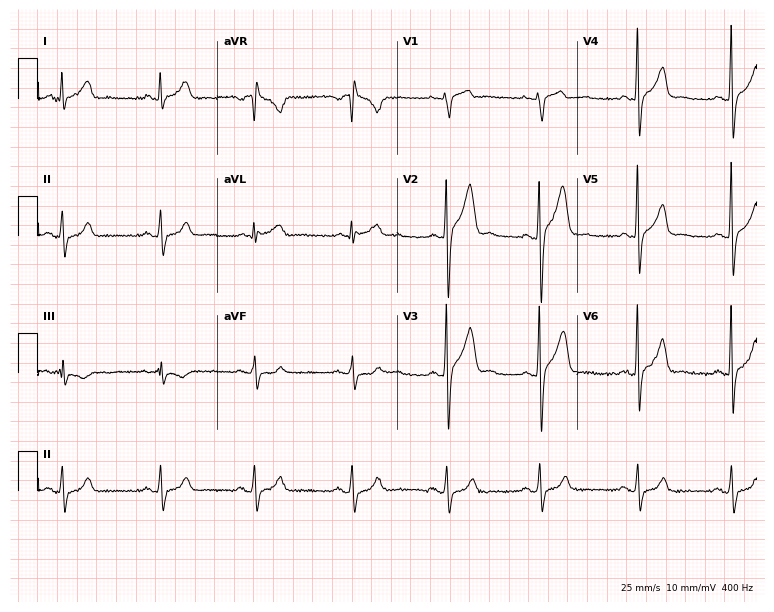
12-lead ECG from a 21-year-old male. No first-degree AV block, right bundle branch block (RBBB), left bundle branch block (LBBB), sinus bradycardia, atrial fibrillation (AF) or sinus tachycardia recorded for this tracing.